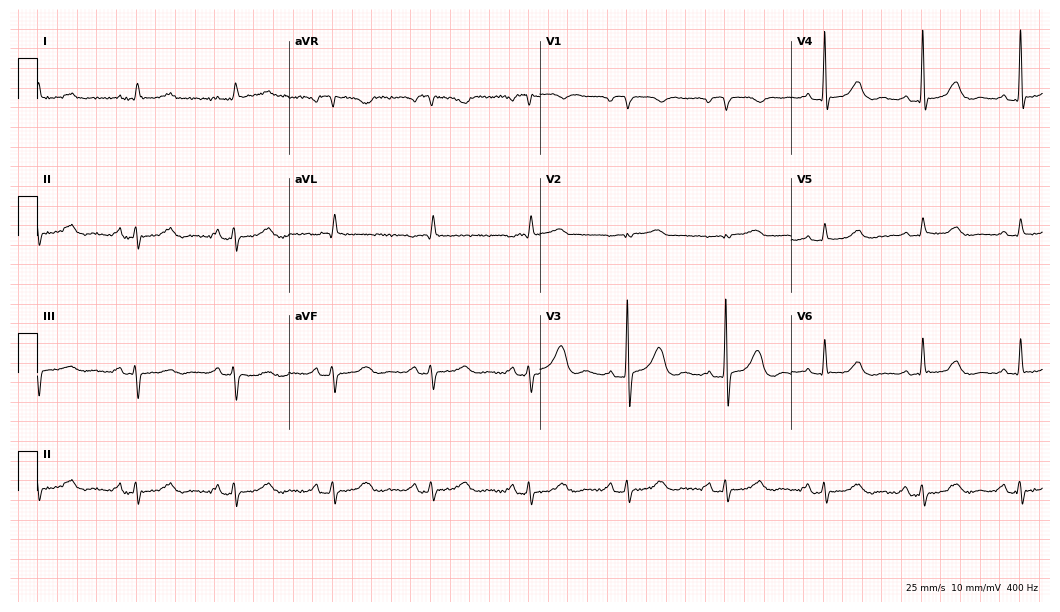
12-lead ECG from a male, 79 years old. Findings include first-degree AV block.